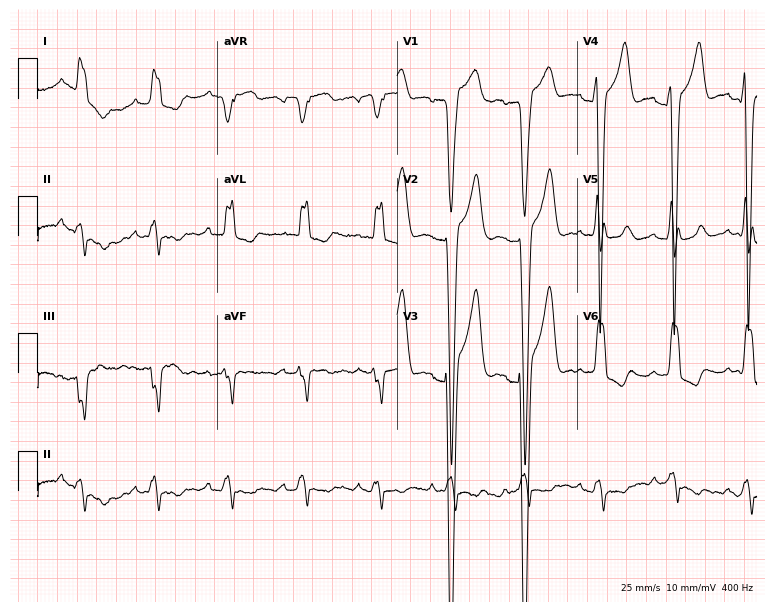
12-lead ECG from a female, 69 years old. Findings include left bundle branch block.